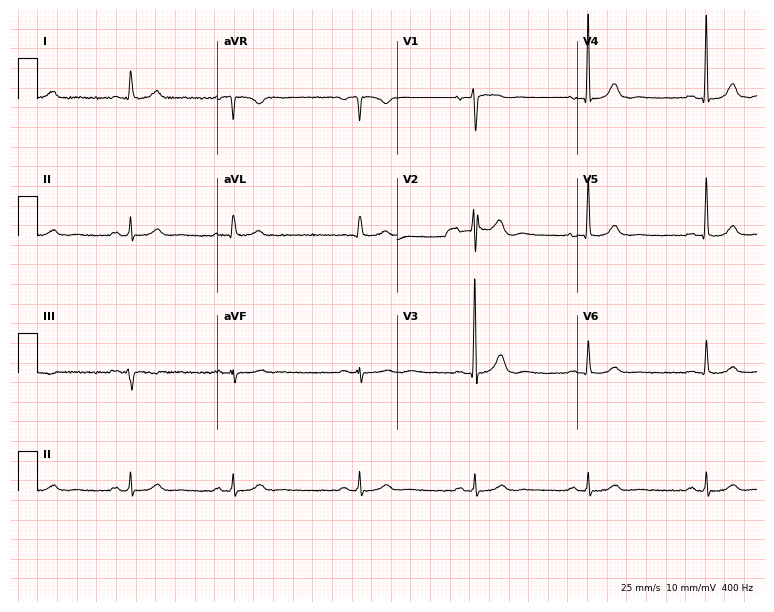
12-lead ECG from a 67-year-old male (7.3-second recording at 400 Hz). No first-degree AV block, right bundle branch block, left bundle branch block, sinus bradycardia, atrial fibrillation or sinus tachycardia recorded for this tracing. Findings outside these six are not listed.